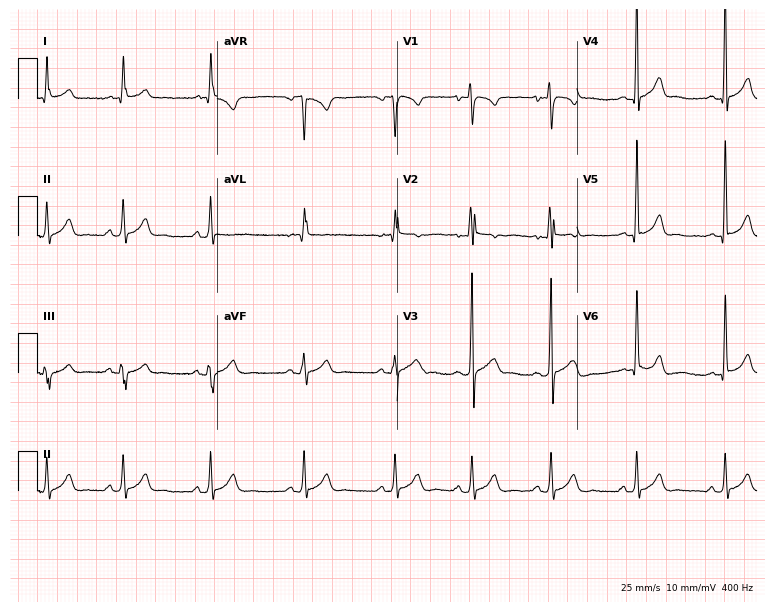
Standard 12-lead ECG recorded from a woman, 20 years old (7.3-second recording at 400 Hz). Read as a normal ECG.